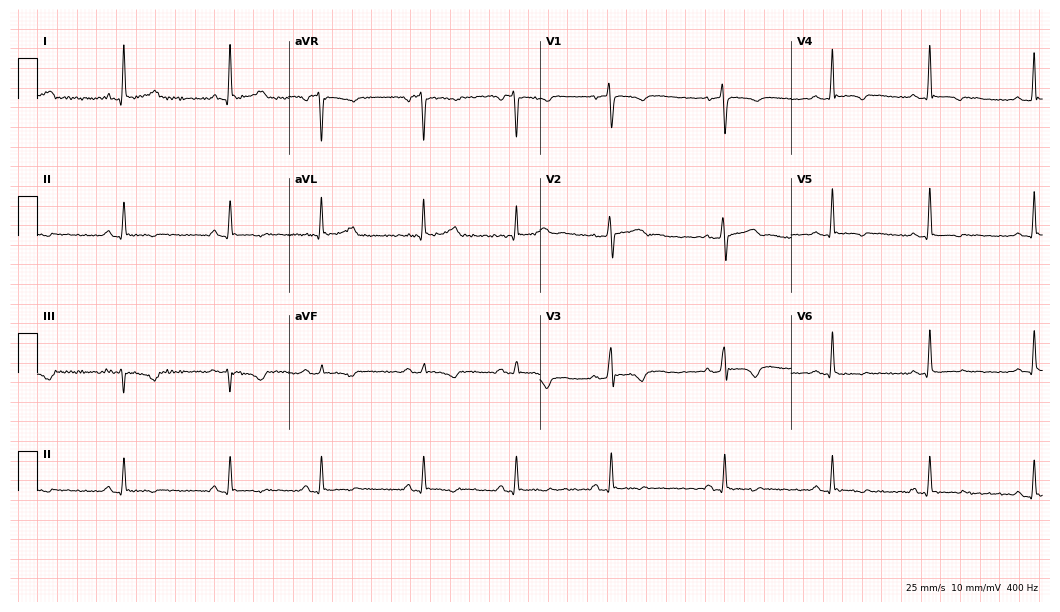
Standard 12-lead ECG recorded from a 44-year-old woman (10.2-second recording at 400 Hz). None of these six findings is recorded: first-degree AV block, right bundle branch block (RBBB), left bundle branch block (LBBB), sinus bradycardia, atrial fibrillation (AF), sinus tachycardia. Other findings, if any, are not listed.